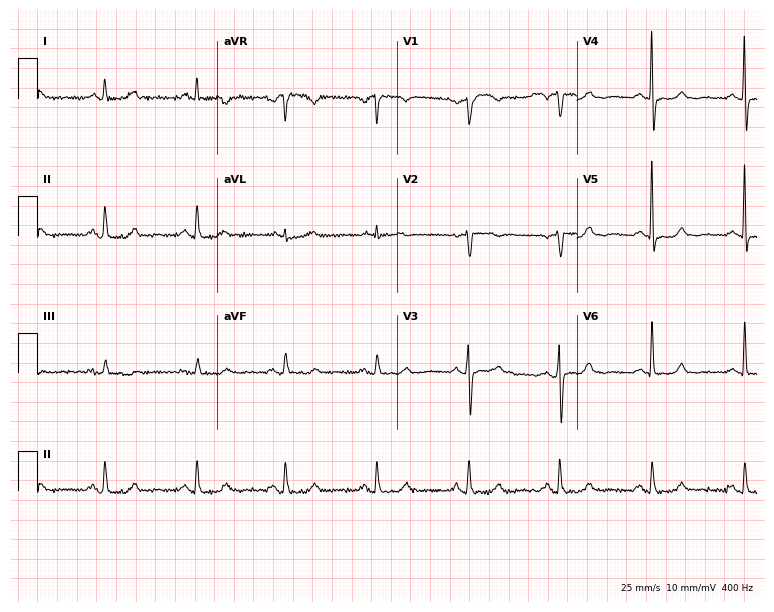
Standard 12-lead ECG recorded from a female, 65 years old. Read as a normal ECG.